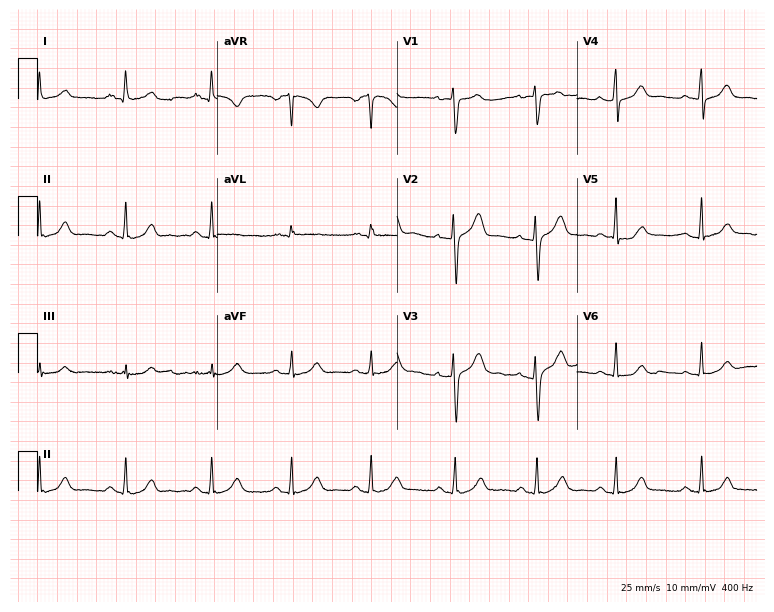
12-lead ECG from a 45-year-old female patient. Recorded interpretation: within normal limits.